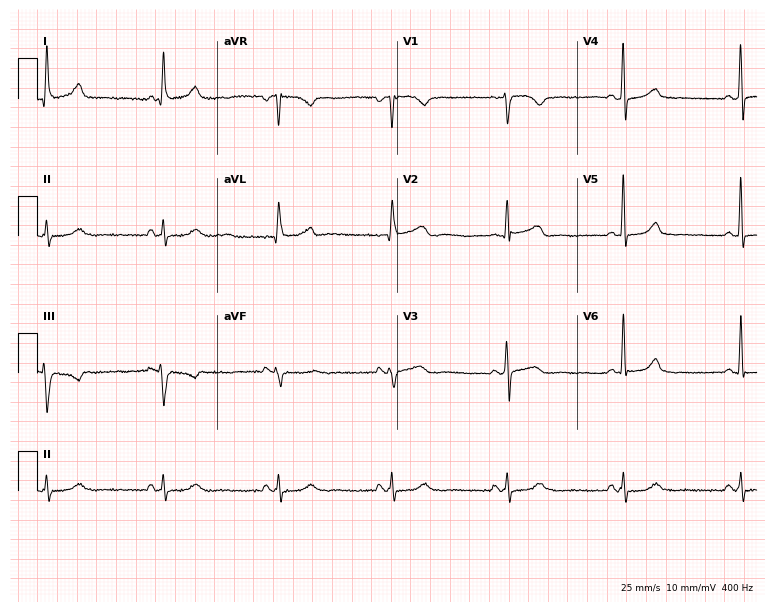
ECG (7.3-second recording at 400 Hz) — a 61-year-old female. Screened for six findings — first-degree AV block, right bundle branch block (RBBB), left bundle branch block (LBBB), sinus bradycardia, atrial fibrillation (AF), sinus tachycardia — none is recorded. Other findings, if any, are not listed.